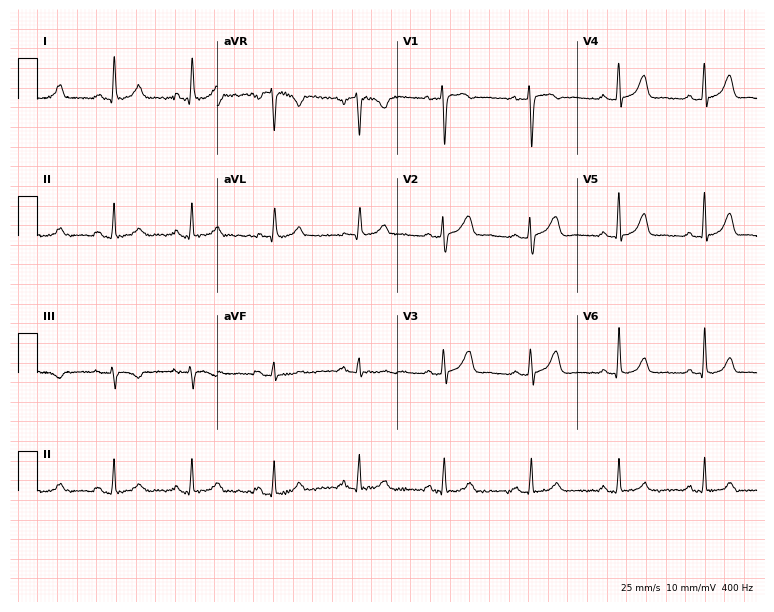
Standard 12-lead ECG recorded from a 50-year-old female. Read as a normal ECG.